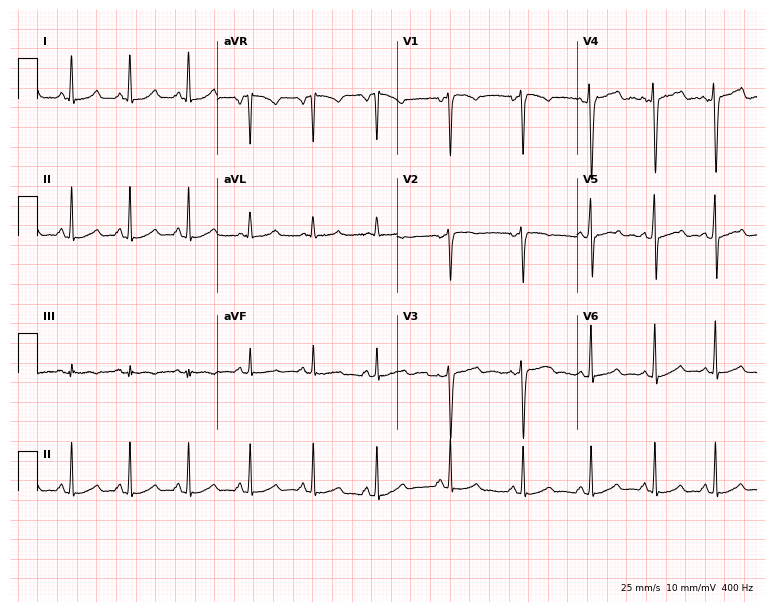
12-lead ECG from a female, 27 years old. Labelled as a normal ECG.